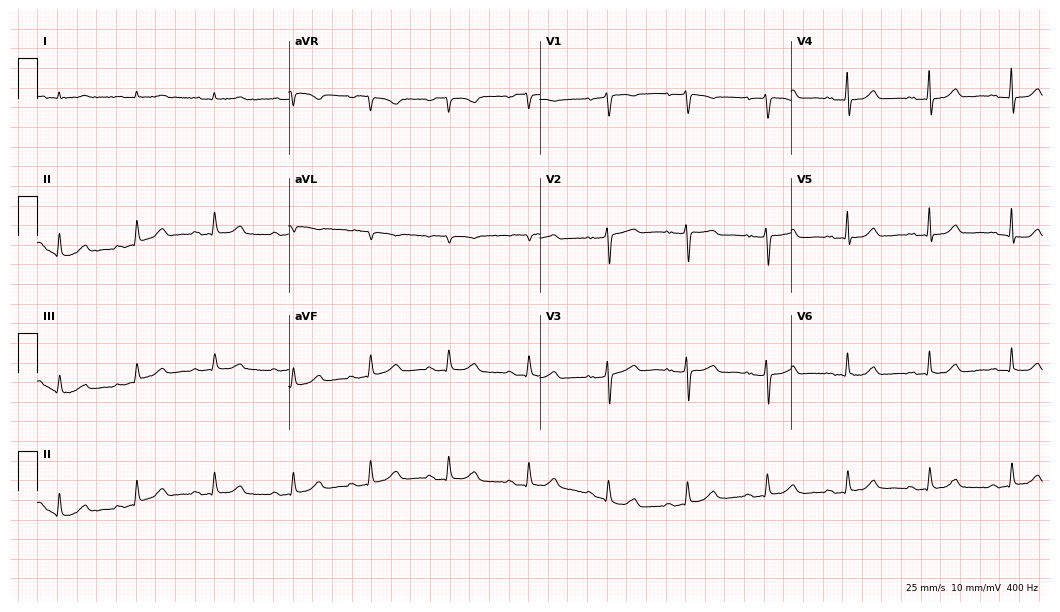
Resting 12-lead electrocardiogram. Patient: a female, 76 years old. Read as a normal ECG.